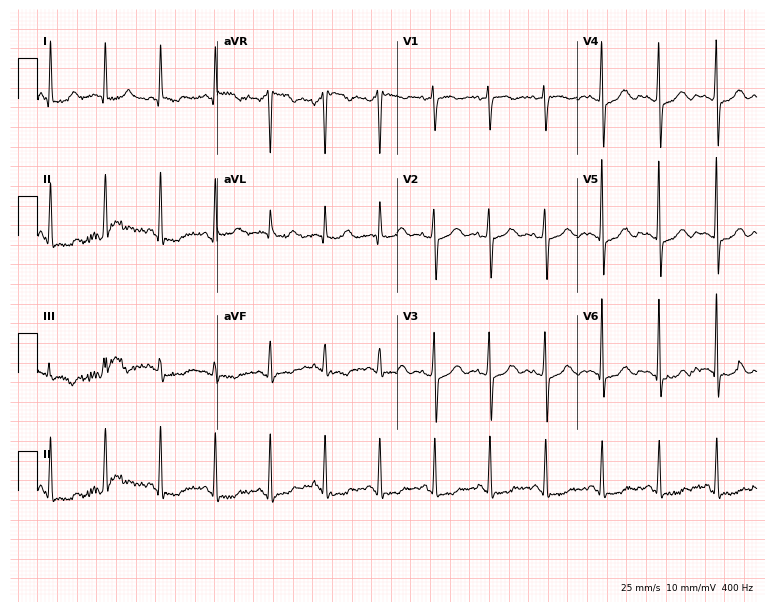
Electrocardiogram, a 51-year-old female. Interpretation includes sinus tachycardia (a sinus rate of 100 beats per minute or more).